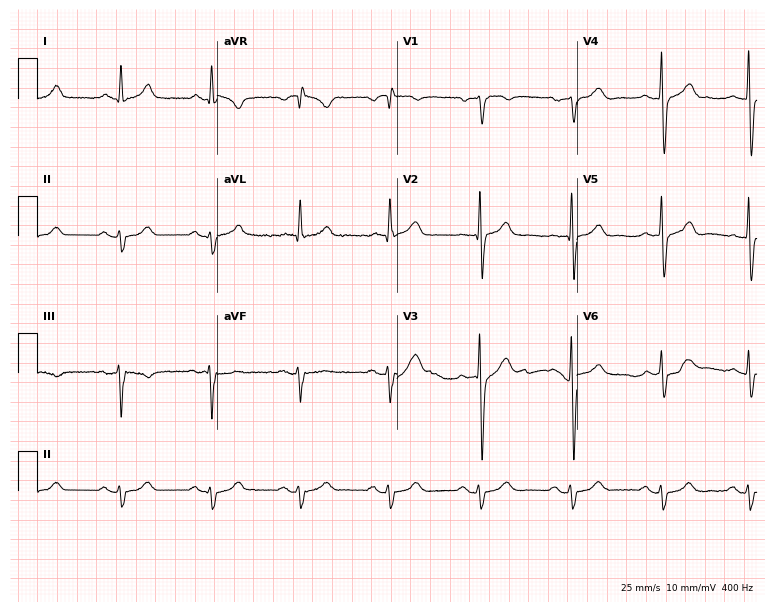
Resting 12-lead electrocardiogram (7.3-second recording at 400 Hz). Patient: a 55-year-old male. None of these six findings is recorded: first-degree AV block, right bundle branch block, left bundle branch block, sinus bradycardia, atrial fibrillation, sinus tachycardia. Only these six findings were labelled.